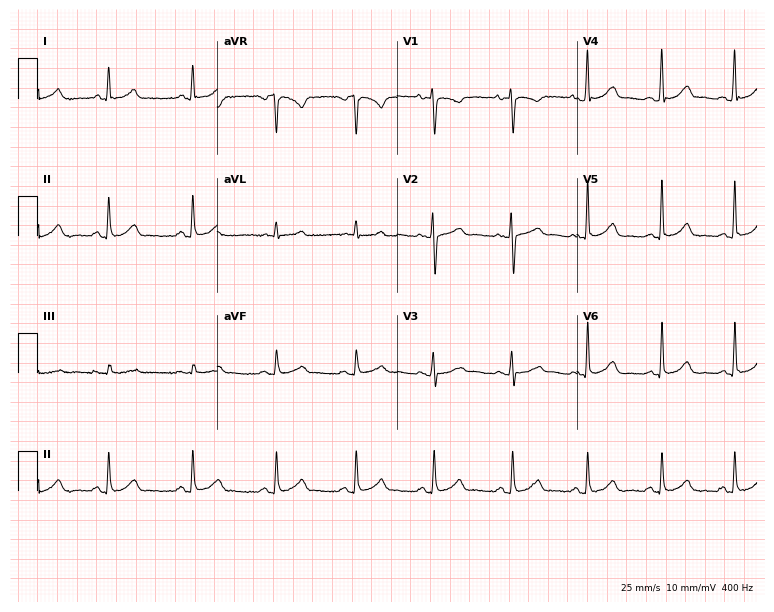
Standard 12-lead ECG recorded from a female patient, 36 years old (7.3-second recording at 400 Hz). Read as a normal ECG.